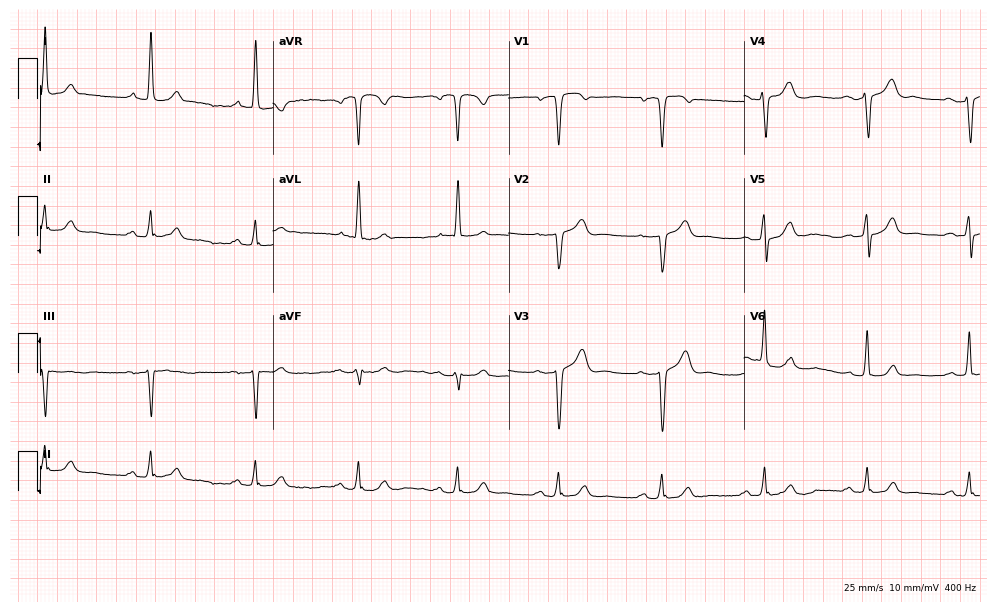
Resting 12-lead electrocardiogram (9.6-second recording at 400 Hz). Patient: a 78-year-old man. Read as a normal ECG.